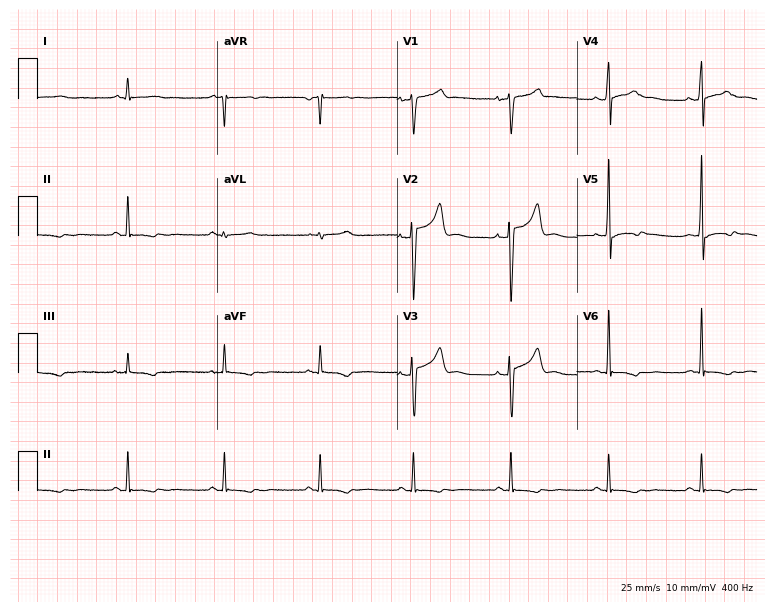
ECG — a 32-year-old male. Screened for six findings — first-degree AV block, right bundle branch block (RBBB), left bundle branch block (LBBB), sinus bradycardia, atrial fibrillation (AF), sinus tachycardia — none is recorded.